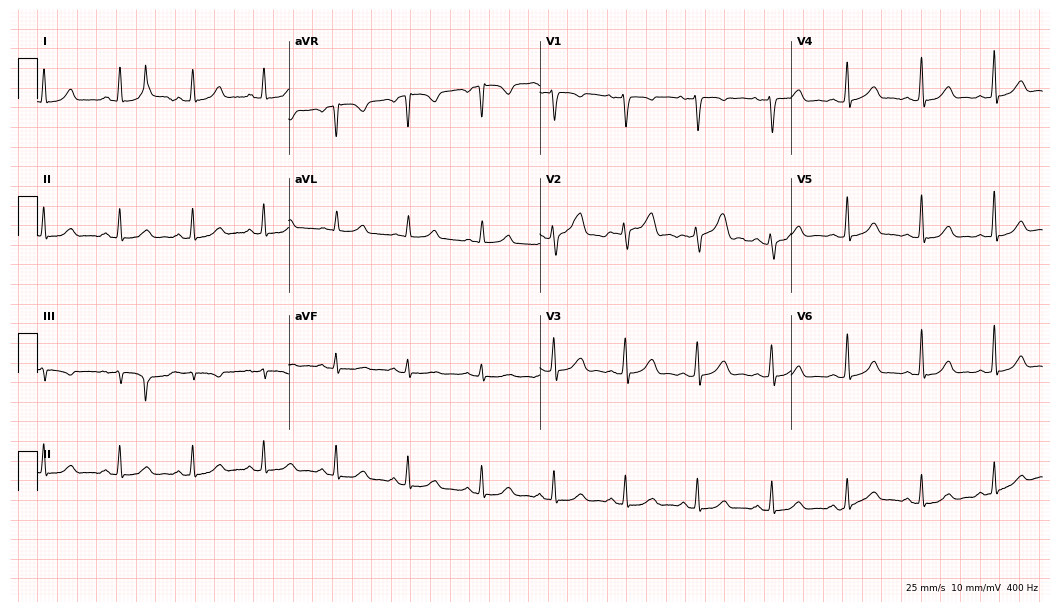
12-lead ECG from a woman, 41 years old (10.2-second recording at 400 Hz). Recorded interpretation: within normal limits.